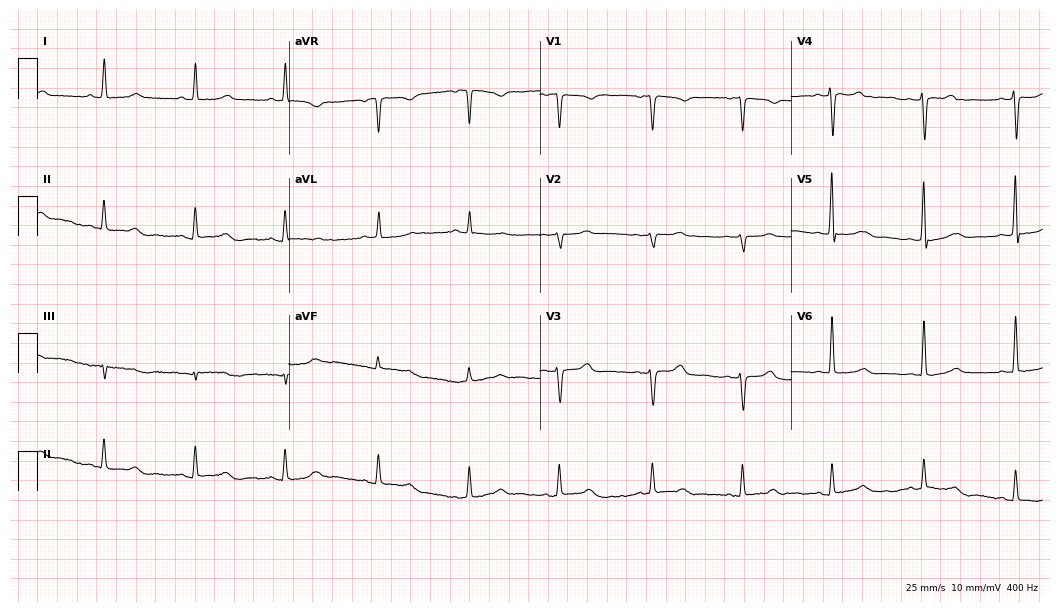
Standard 12-lead ECG recorded from a female, 61 years old. None of these six findings is recorded: first-degree AV block, right bundle branch block, left bundle branch block, sinus bradycardia, atrial fibrillation, sinus tachycardia. Other findings, if any, are not listed.